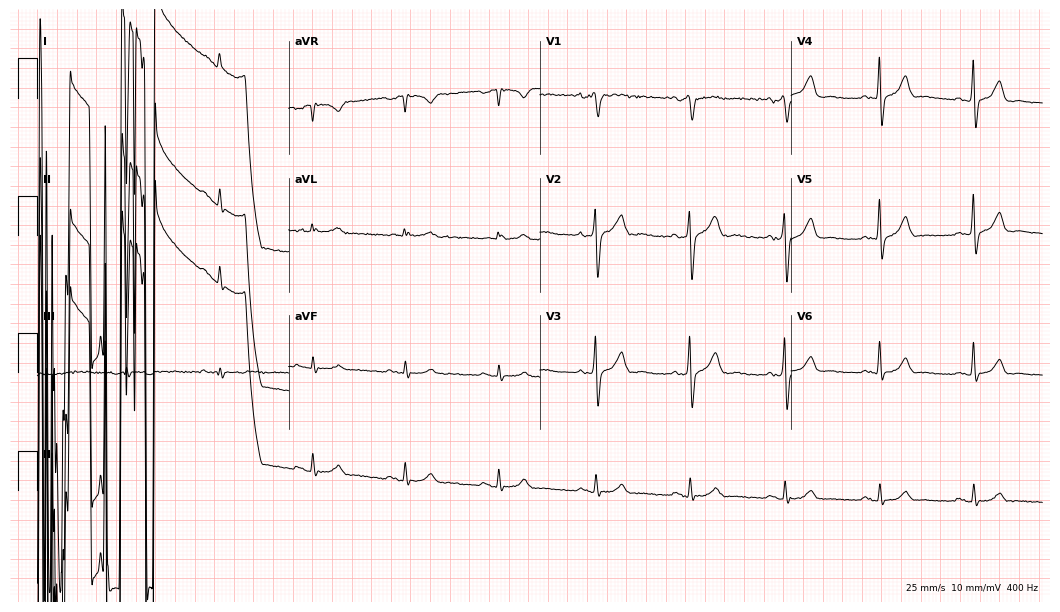
Resting 12-lead electrocardiogram (10.2-second recording at 400 Hz). Patient: a 61-year-old male. None of these six findings is recorded: first-degree AV block, right bundle branch block, left bundle branch block, sinus bradycardia, atrial fibrillation, sinus tachycardia.